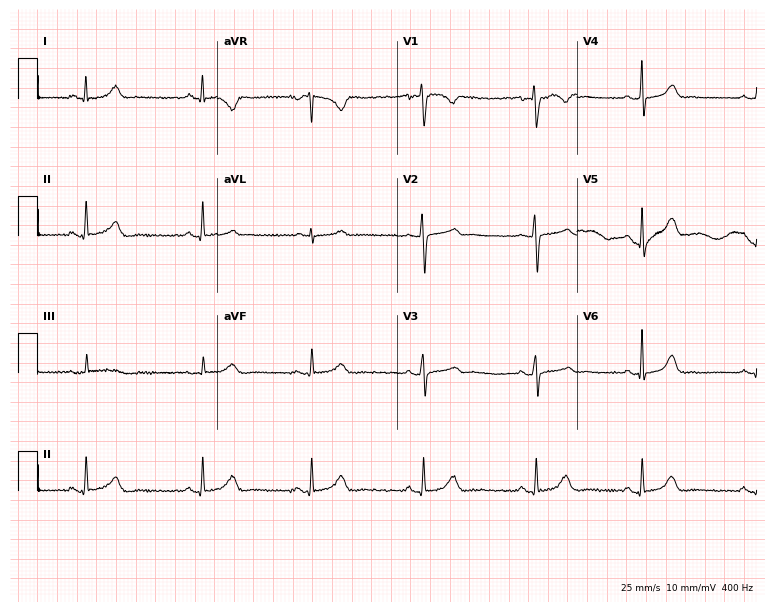
Electrocardiogram (7.3-second recording at 400 Hz), a 29-year-old woman. Of the six screened findings (first-degree AV block, right bundle branch block, left bundle branch block, sinus bradycardia, atrial fibrillation, sinus tachycardia), none is recorded. Only these six findings were labelled.